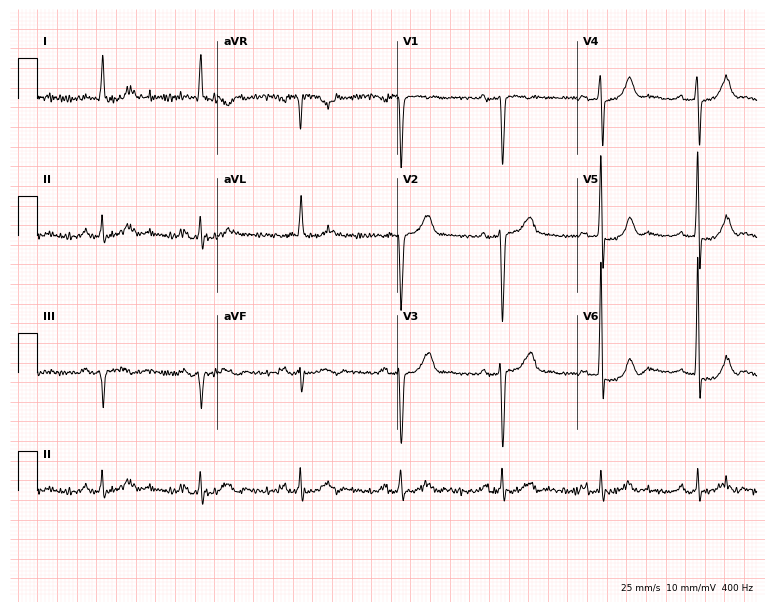
12-lead ECG from a 61-year-old male. No first-degree AV block, right bundle branch block, left bundle branch block, sinus bradycardia, atrial fibrillation or sinus tachycardia recorded for this tracing.